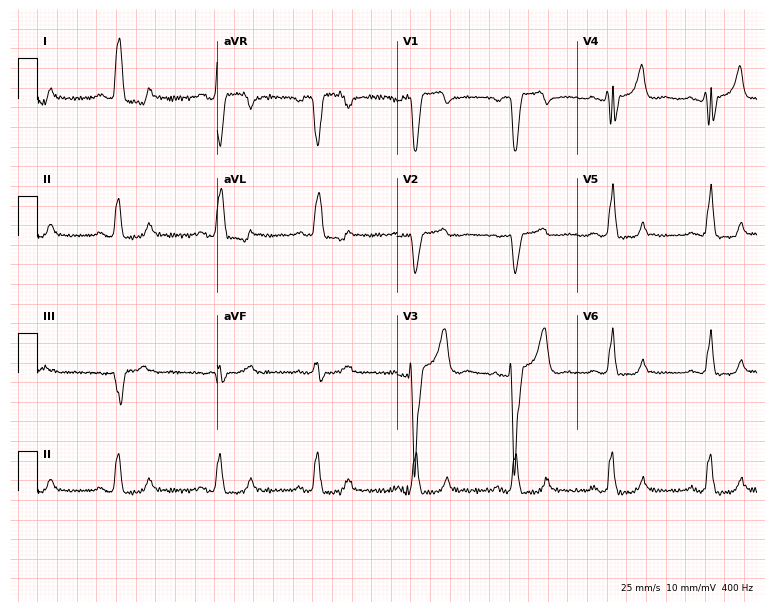
Electrocardiogram, a 31-year-old female patient. Interpretation includes left bundle branch block.